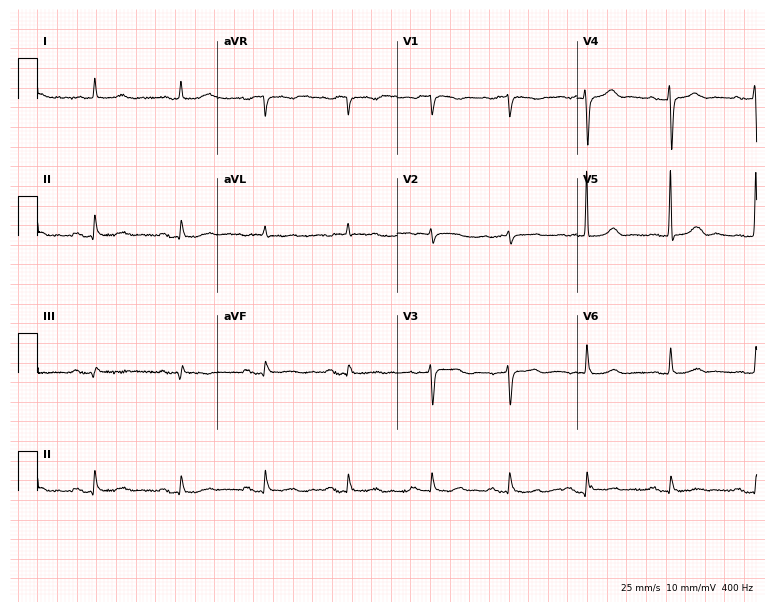
Resting 12-lead electrocardiogram. Patient: an 82-year-old woman. Read as a normal ECG.